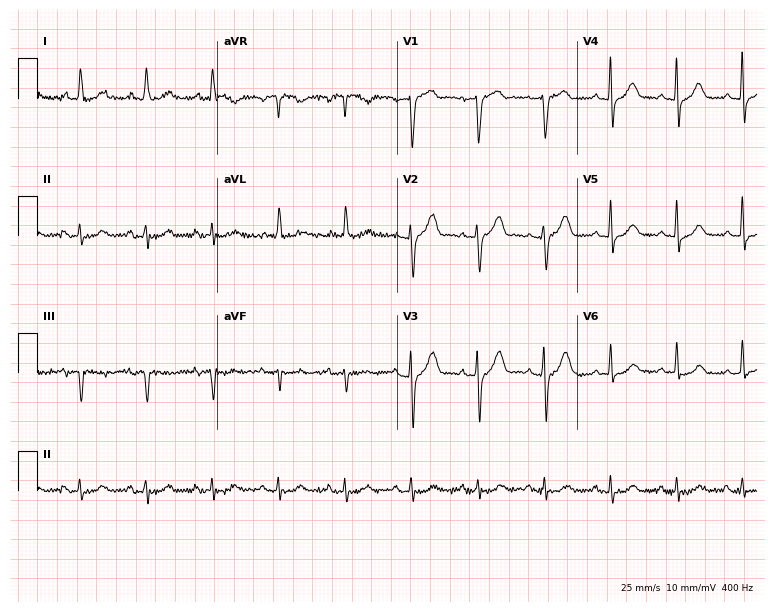
ECG (7.3-second recording at 400 Hz) — a female, 83 years old. Labelled as a normal ECG.